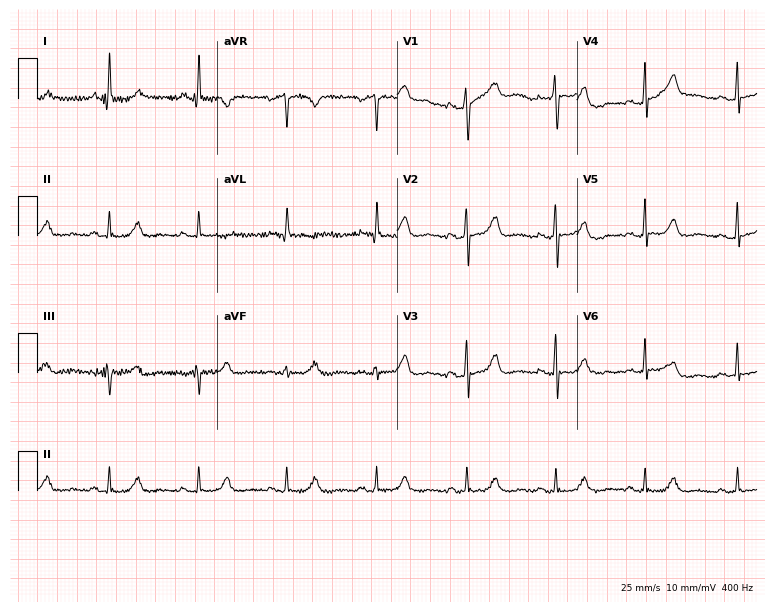
Resting 12-lead electrocardiogram (7.3-second recording at 400 Hz). Patient: a 67-year-old female. Read as a normal ECG.